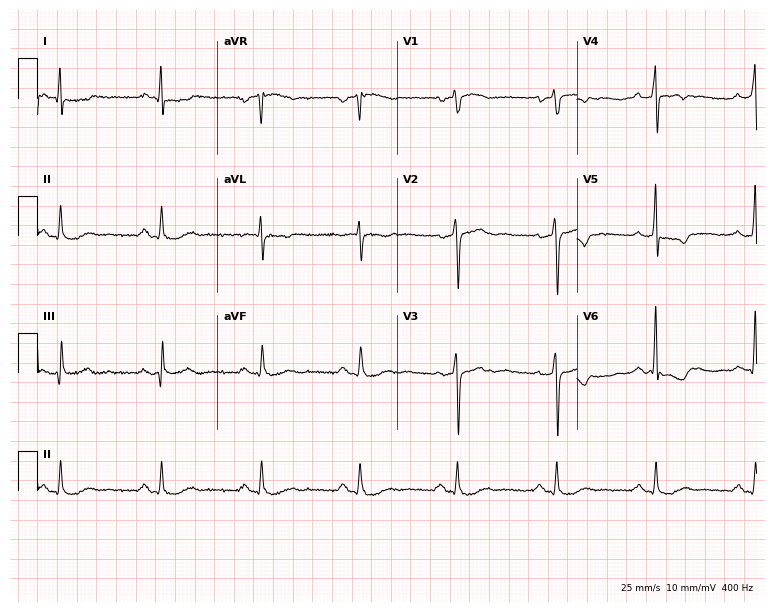
Resting 12-lead electrocardiogram. Patient: a man, 65 years old. None of these six findings is recorded: first-degree AV block, right bundle branch block (RBBB), left bundle branch block (LBBB), sinus bradycardia, atrial fibrillation (AF), sinus tachycardia. Other findings, if any, are not listed.